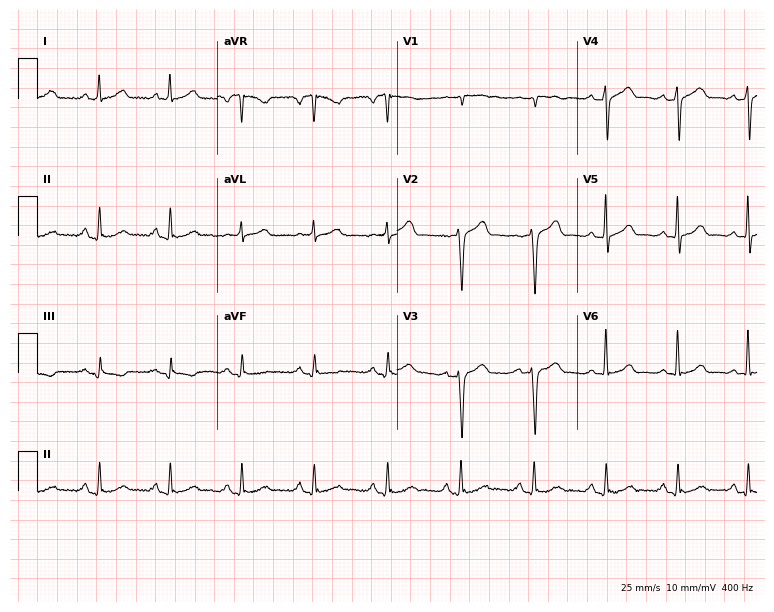
12-lead ECG from a 61-year-old male patient. Screened for six findings — first-degree AV block, right bundle branch block (RBBB), left bundle branch block (LBBB), sinus bradycardia, atrial fibrillation (AF), sinus tachycardia — none is recorded.